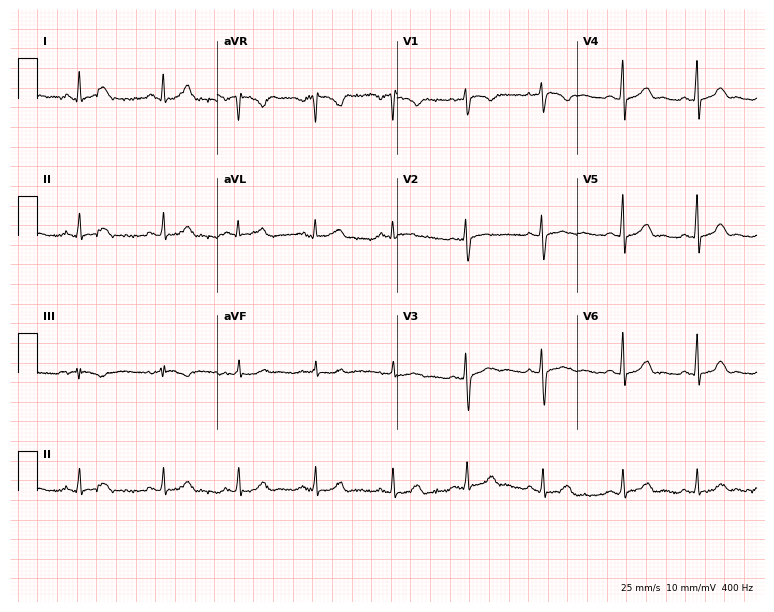
12-lead ECG from a 23-year-old female. Screened for six findings — first-degree AV block, right bundle branch block, left bundle branch block, sinus bradycardia, atrial fibrillation, sinus tachycardia — none is recorded.